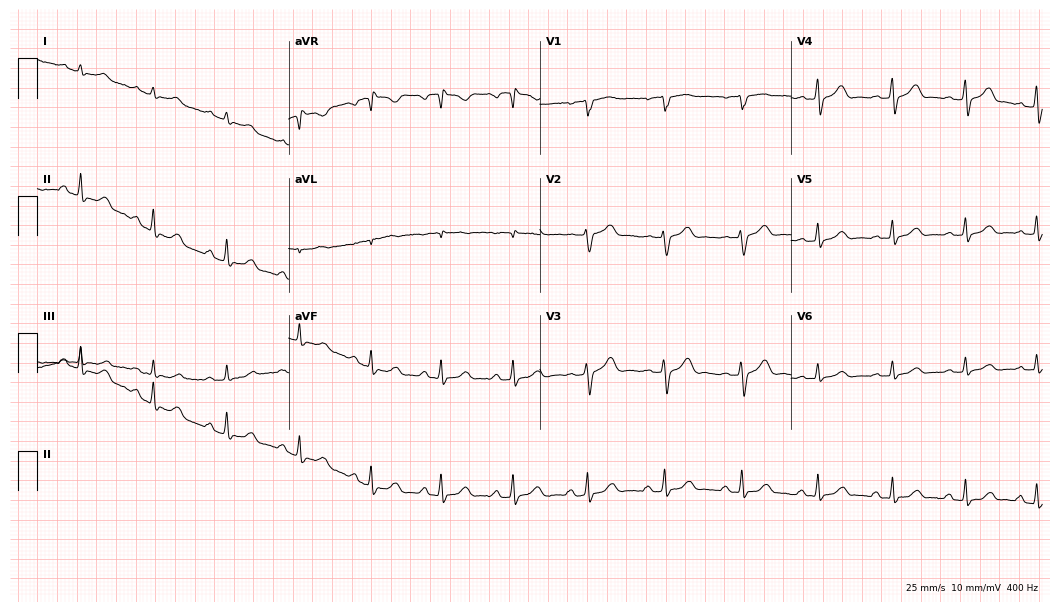
Electrocardiogram (10.2-second recording at 400 Hz), a female patient, 52 years old. Overall reading on record: normal ECG.